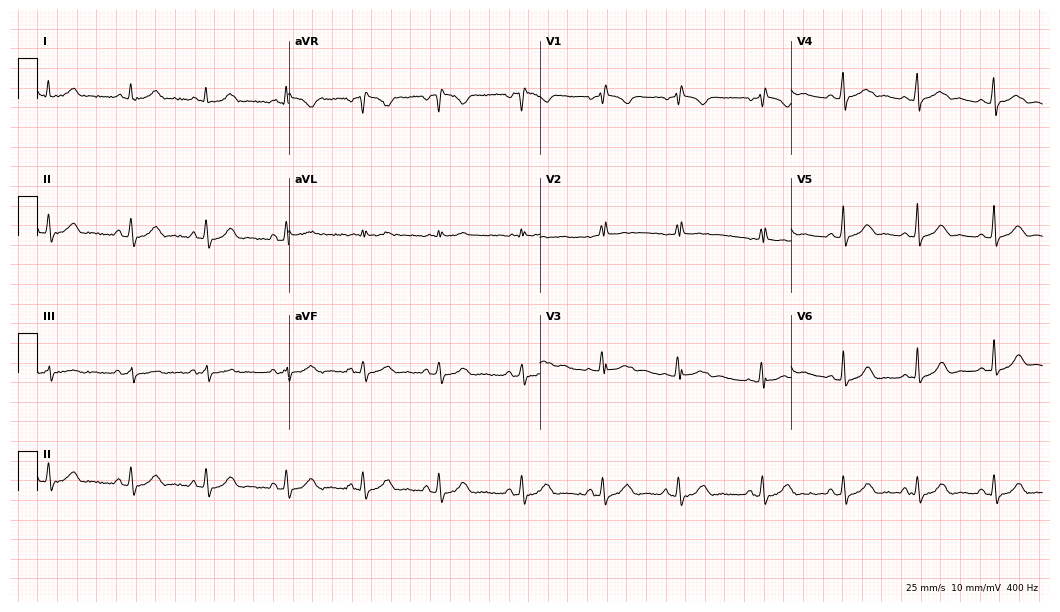
12-lead ECG from a female patient, 30 years old (10.2-second recording at 400 Hz). No first-degree AV block, right bundle branch block (RBBB), left bundle branch block (LBBB), sinus bradycardia, atrial fibrillation (AF) or sinus tachycardia recorded for this tracing. Only these six findings were labelled.